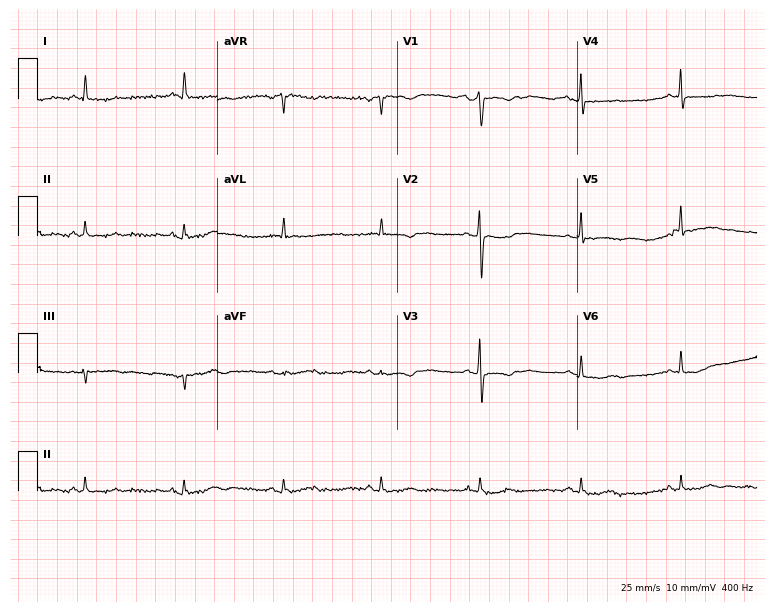
Resting 12-lead electrocardiogram (7.3-second recording at 400 Hz). Patient: a female, 65 years old. Read as a normal ECG.